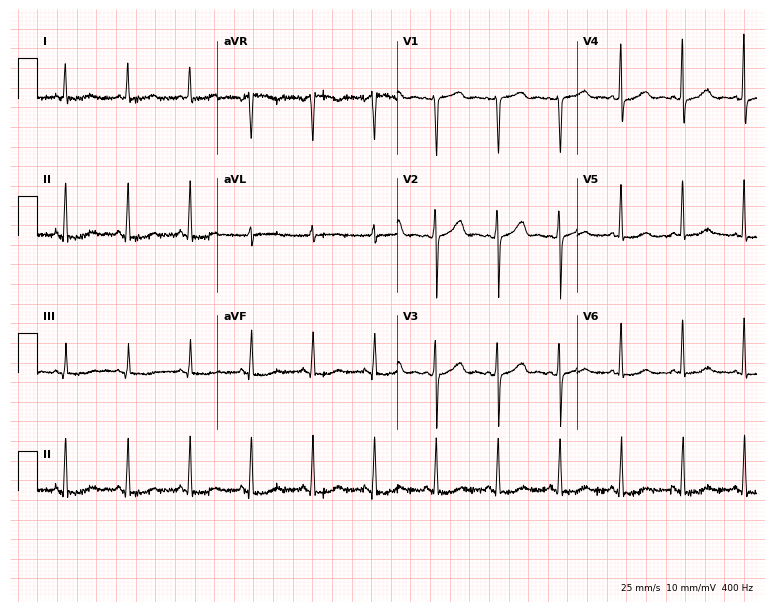
Standard 12-lead ECG recorded from a female, 48 years old. Read as a normal ECG.